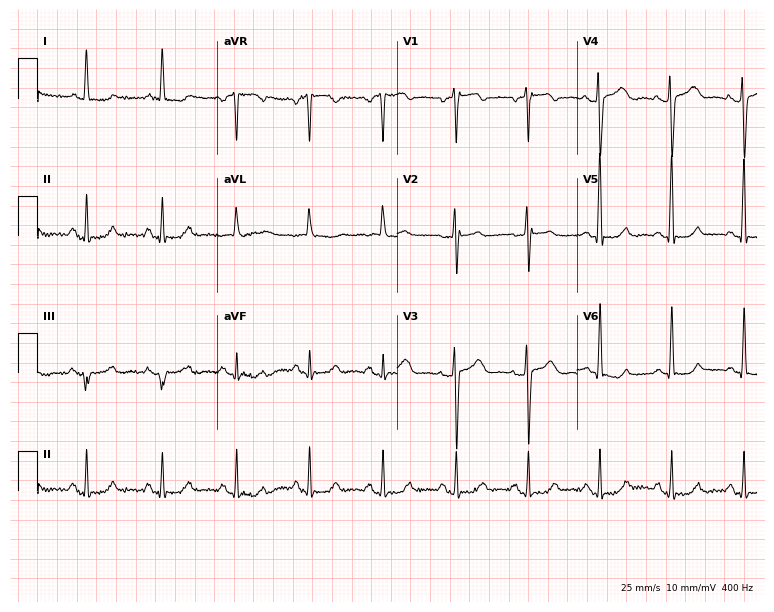
12-lead ECG from a female, 83 years old (7.3-second recording at 400 Hz). No first-degree AV block, right bundle branch block, left bundle branch block, sinus bradycardia, atrial fibrillation or sinus tachycardia recorded for this tracing. Other findings, if any, are not listed.